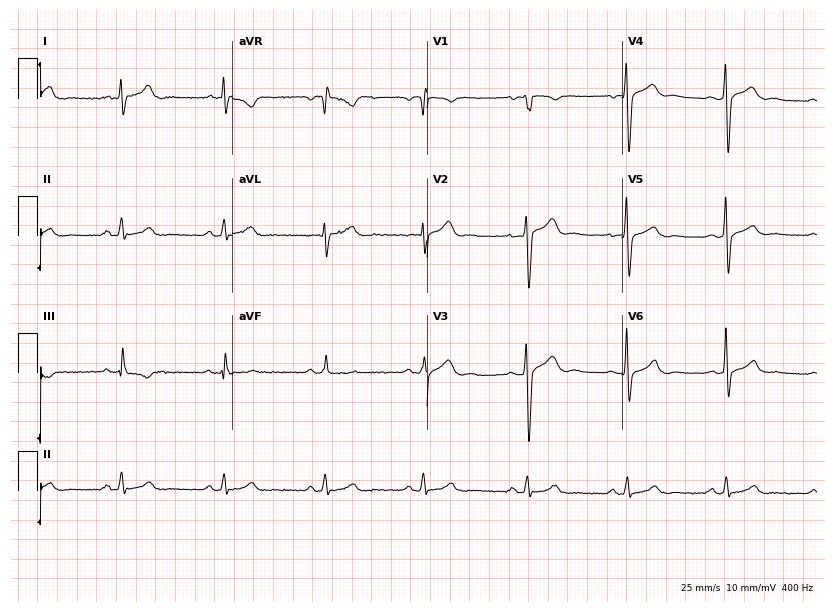
12-lead ECG from a male, 32 years old. No first-degree AV block, right bundle branch block, left bundle branch block, sinus bradycardia, atrial fibrillation or sinus tachycardia recorded for this tracing. Findings outside these six are not listed.